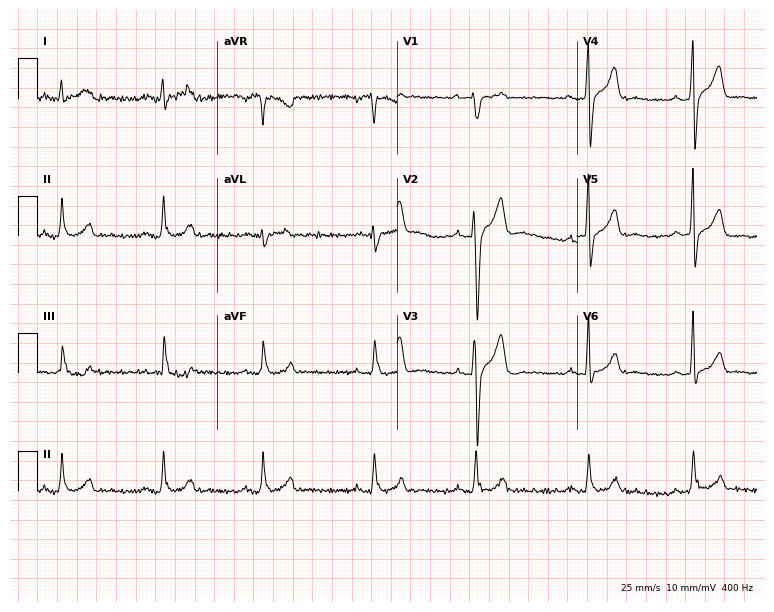
Resting 12-lead electrocardiogram. Patient: a 20-year-old man. None of these six findings is recorded: first-degree AV block, right bundle branch block, left bundle branch block, sinus bradycardia, atrial fibrillation, sinus tachycardia. Other findings, if any, are not listed.